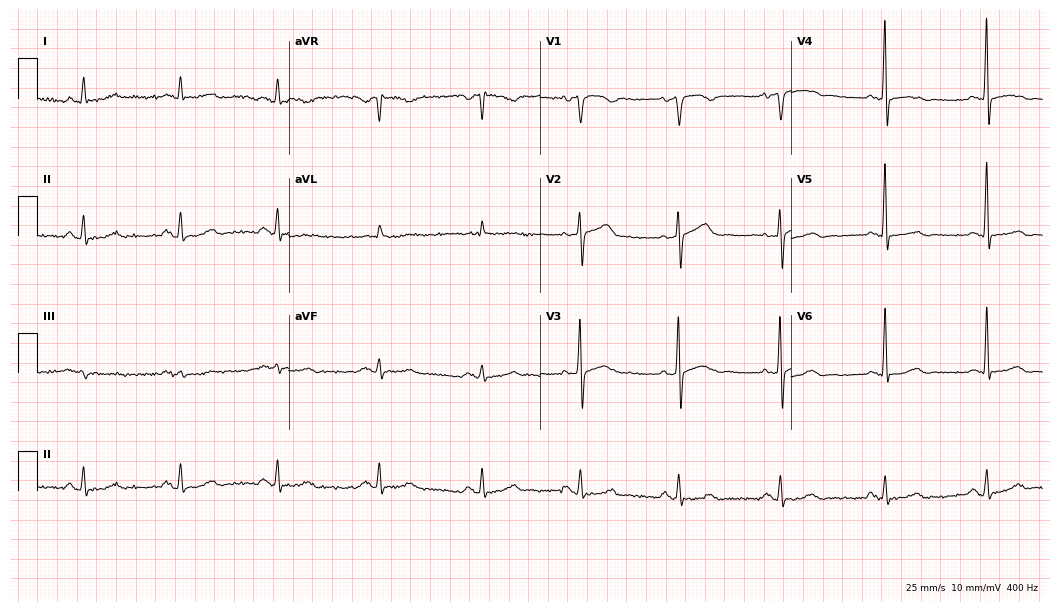
12-lead ECG from a 66-year-old male patient. Screened for six findings — first-degree AV block, right bundle branch block, left bundle branch block, sinus bradycardia, atrial fibrillation, sinus tachycardia — none is recorded.